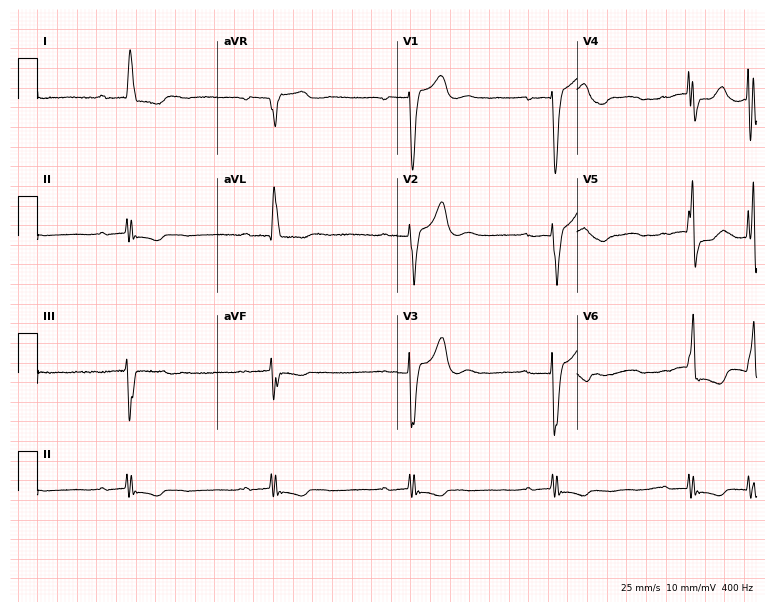
12-lead ECG from a male patient, 68 years old (7.3-second recording at 400 Hz). Shows first-degree AV block, left bundle branch block, sinus bradycardia (a sinus rate of 50 beats per minute or less).